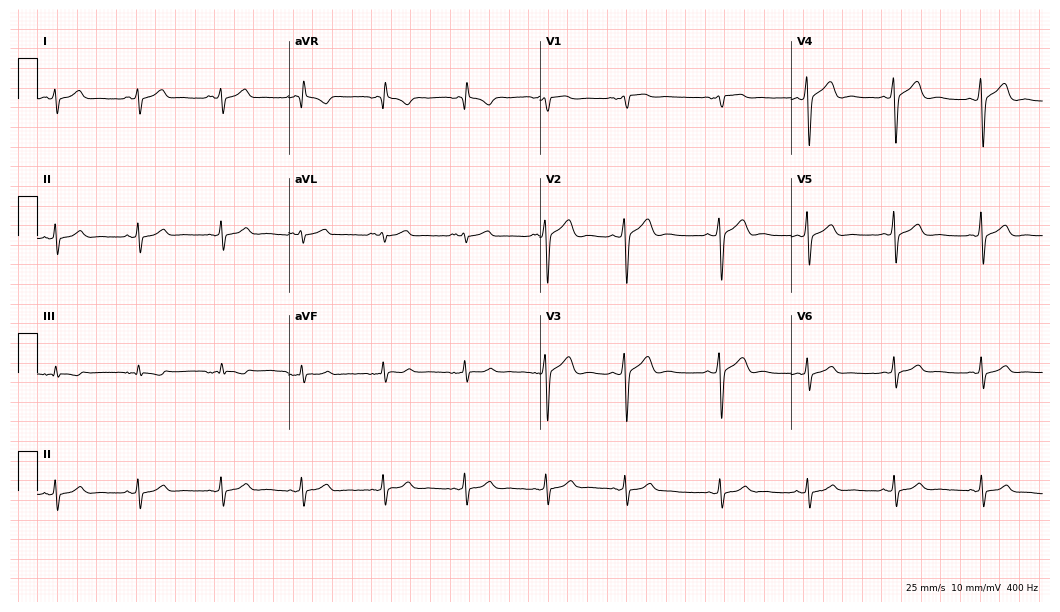
ECG (10.2-second recording at 400 Hz) — a male, 55 years old. Screened for six findings — first-degree AV block, right bundle branch block (RBBB), left bundle branch block (LBBB), sinus bradycardia, atrial fibrillation (AF), sinus tachycardia — none is recorded. Only these six findings were labelled.